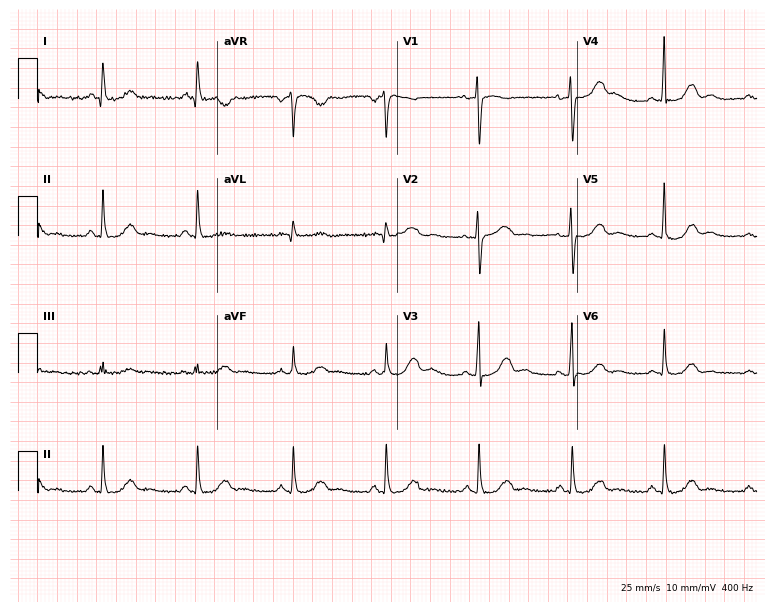
Electrocardiogram, a 55-year-old female patient. Of the six screened findings (first-degree AV block, right bundle branch block (RBBB), left bundle branch block (LBBB), sinus bradycardia, atrial fibrillation (AF), sinus tachycardia), none is recorded. Findings outside these six are not listed.